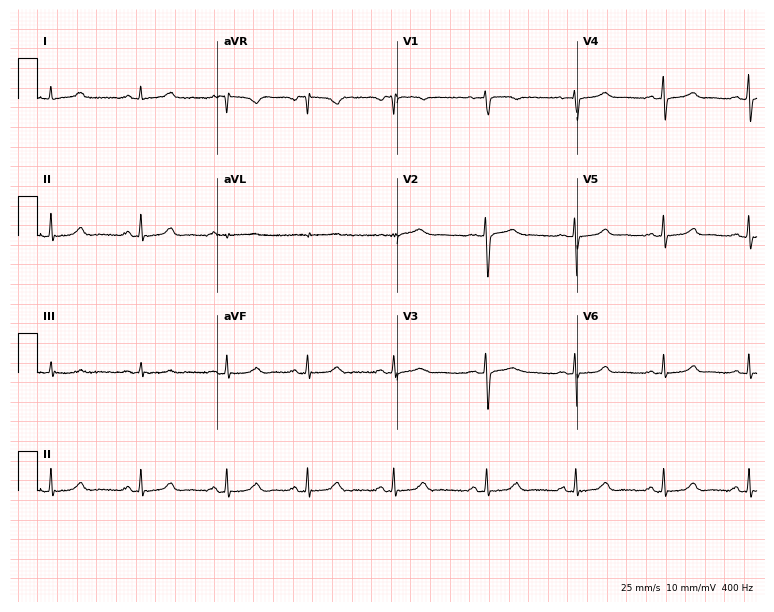
12-lead ECG from a female patient, 25 years old. Screened for six findings — first-degree AV block, right bundle branch block, left bundle branch block, sinus bradycardia, atrial fibrillation, sinus tachycardia — none is recorded. Only these six findings were labelled.